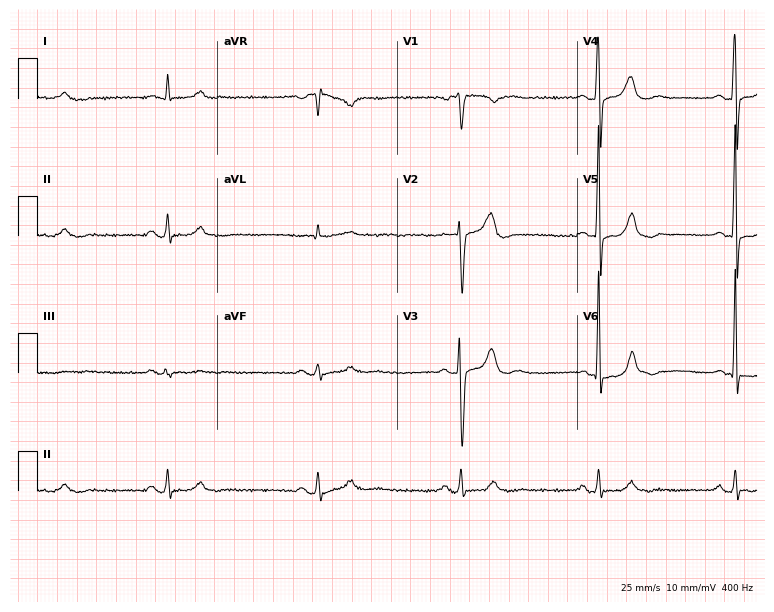
12-lead ECG from a 52-year-old male patient. Findings include sinus bradycardia (a sinus rate of 50 beats per minute or less).